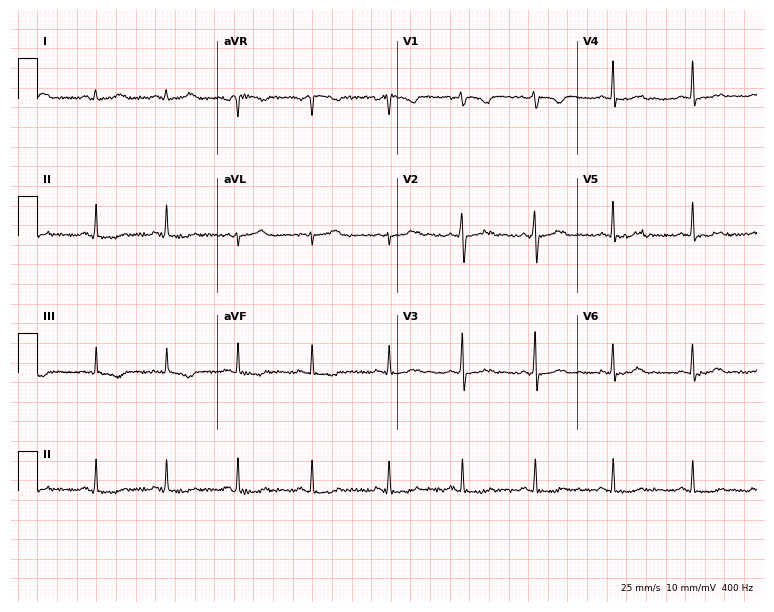
ECG — a 27-year-old female patient. Screened for six findings — first-degree AV block, right bundle branch block, left bundle branch block, sinus bradycardia, atrial fibrillation, sinus tachycardia — none is recorded.